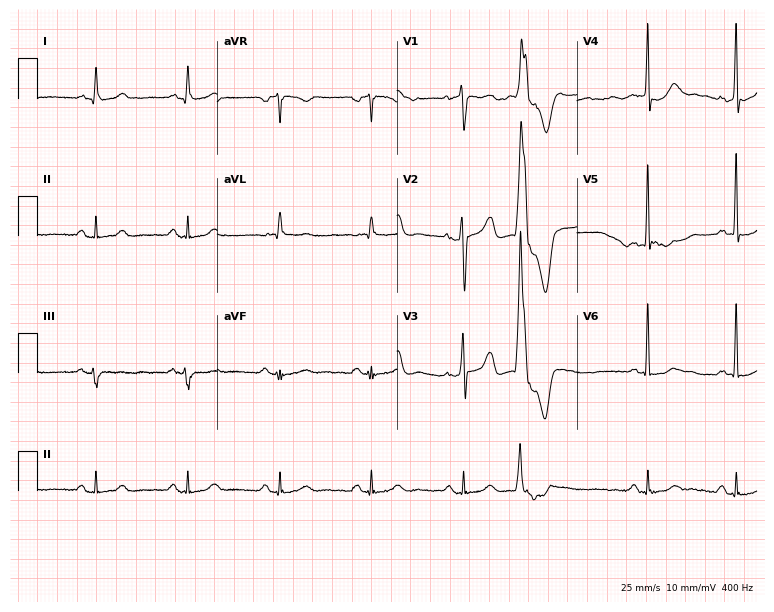
12-lead ECG (7.3-second recording at 400 Hz) from a man, 62 years old. Screened for six findings — first-degree AV block, right bundle branch block (RBBB), left bundle branch block (LBBB), sinus bradycardia, atrial fibrillation (AF), sinus tachycardia — none is recorded.